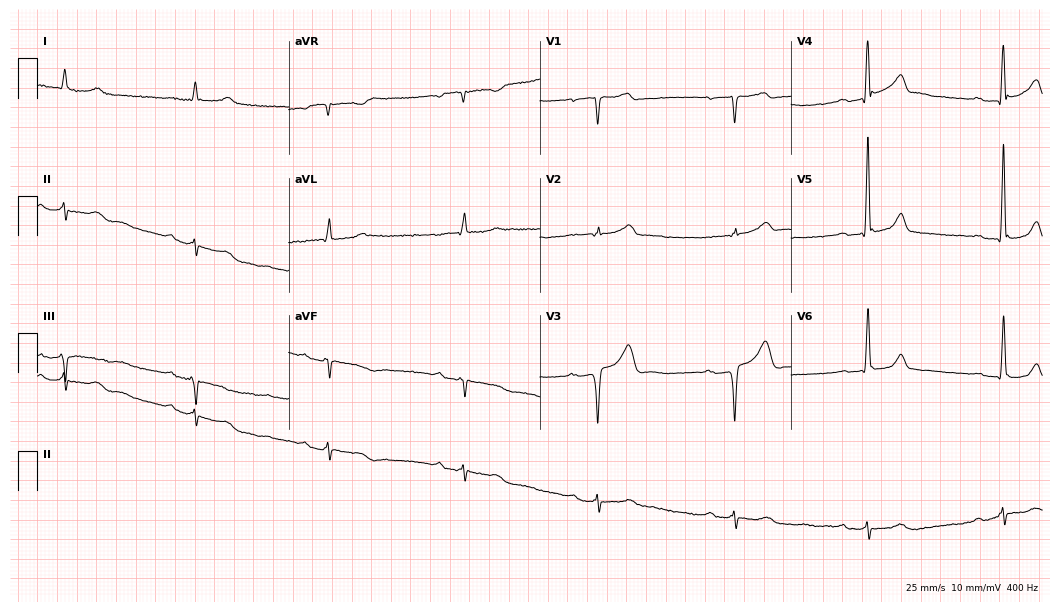
12-lead ECG from a man, 70 years old (10.2-second recording at 400 Hz). Shows sinus bradycardia (a sinus rate of 50 beats per minute or less).